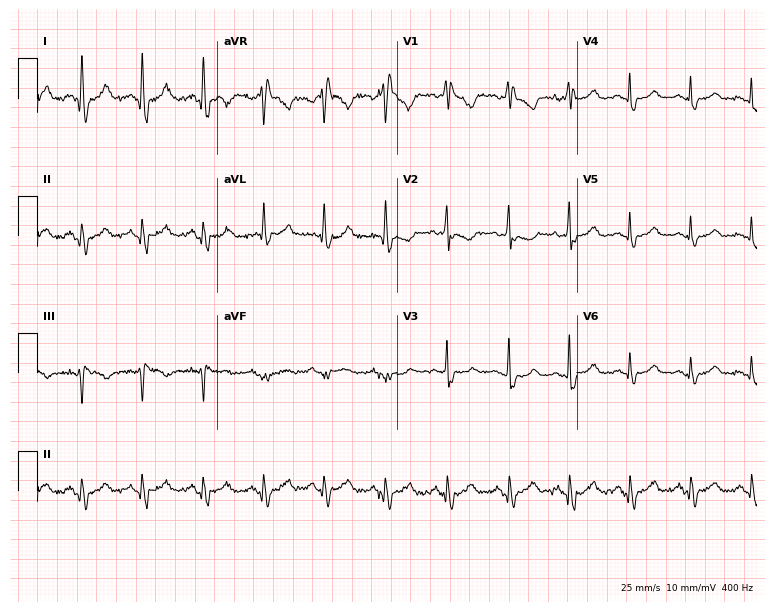
12-lead ECG from a 51-year-old female. Screened for six findings — first-degree AV block, right bundle branch block, left bundle branch block, sinus bradycardia, atrial fibrillation, sinus tachycardia — none is recorded. Findings outside these six are not listed.